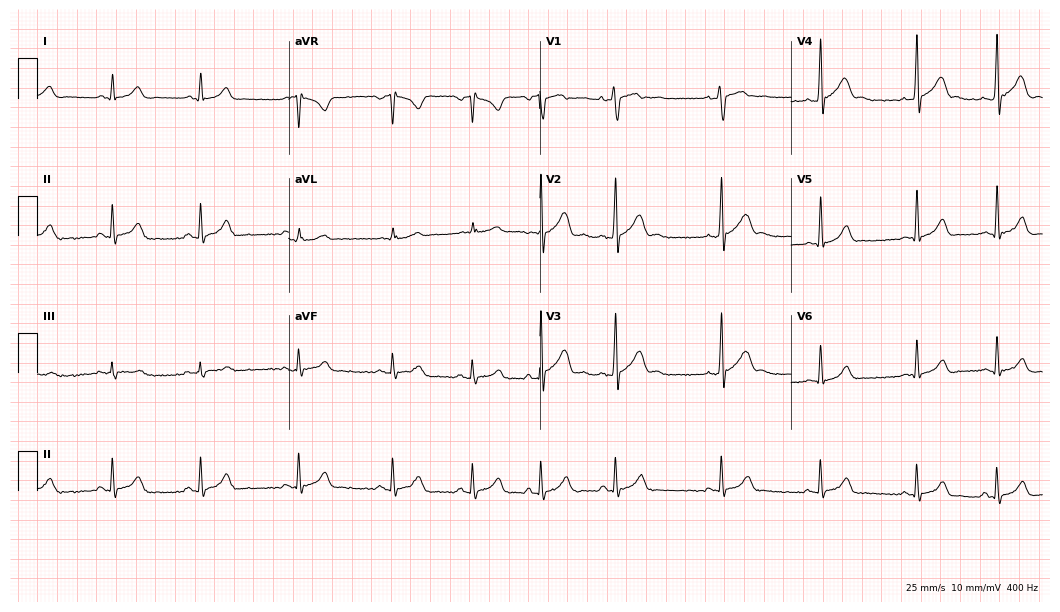
Resting 12-lead electrocardiogram. Patient: a 19-year-old male. Read as a normal ECG.